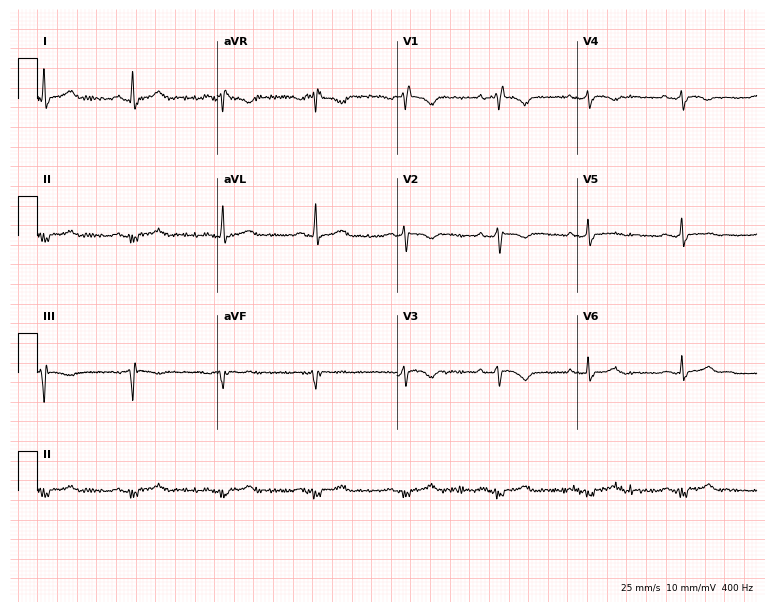
Resting 12-lead electrocardiogram. Patient: a 40-year-old female. None of these six findings is recorded: first-degree AV block, right bundle branch block, left bundle branch block, sinus bradycardia, atrial fibrillation, sinus tachycardia.